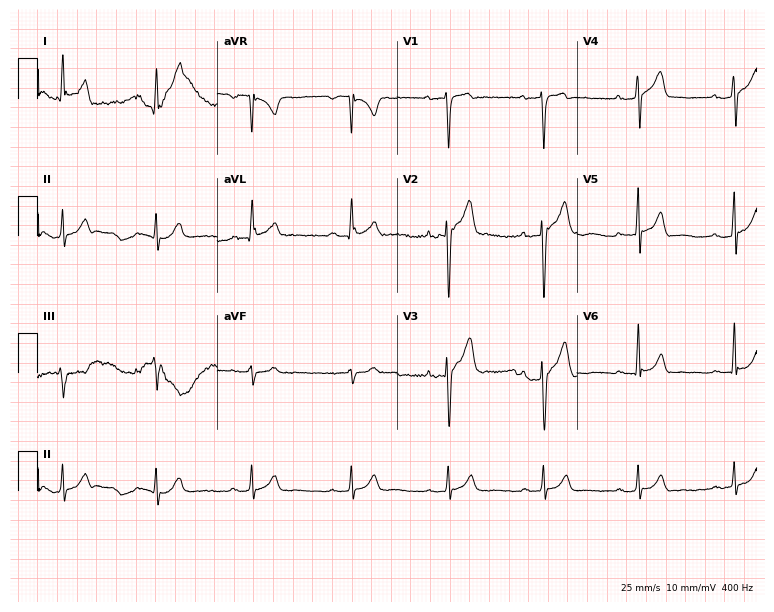
ECG (7.3-second recording at 400 Hz) — a 39-year-old male patient. Labelled as a normal ECG.